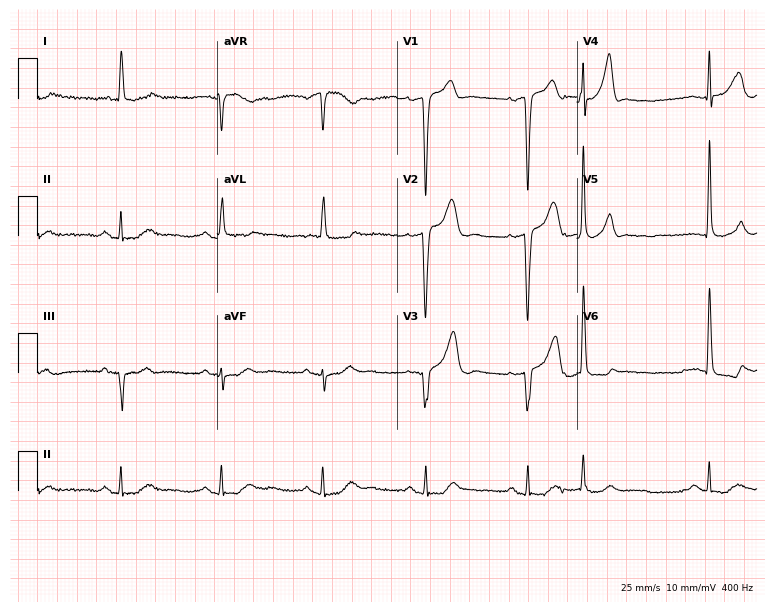
12-lead ECG from a 78-year-old male (7.3-second recording at 400 Hz). No first-degree AV block, right bundle branch block, left bundle branch block, sinus bradycardia, atrial fibrillation or sinus tachycardia recorded for this tracing. Other findings, if any, are not listed.